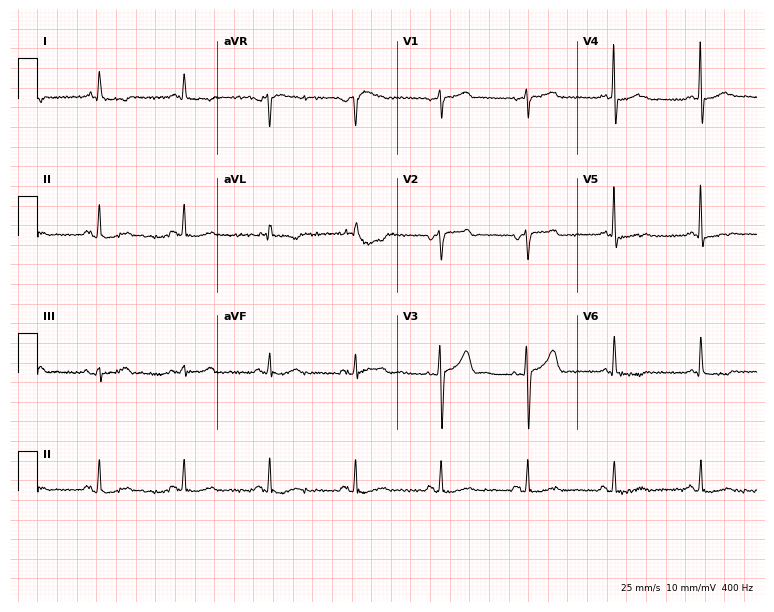
Standard 12-lead ECG recorded from a man, 72 years old (7.3-second recording at 400 Hz). None of these six findings is recorded: first-degree AV block, right bundle branch block (RBBB), left bundle branch block (LBBB), sinus bradycardia, atrial fibrillation (AF), sinus tachycardia. Findings outside these six are not listed.